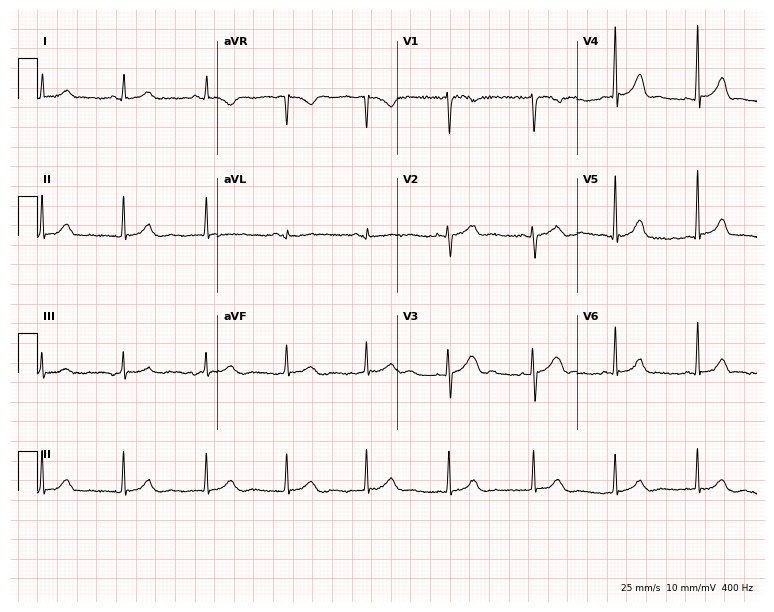
12-lead ECG from a 39-year-old female patient (7.3-second recording at 400 Hz). Recorded interpretation: within normal limits.